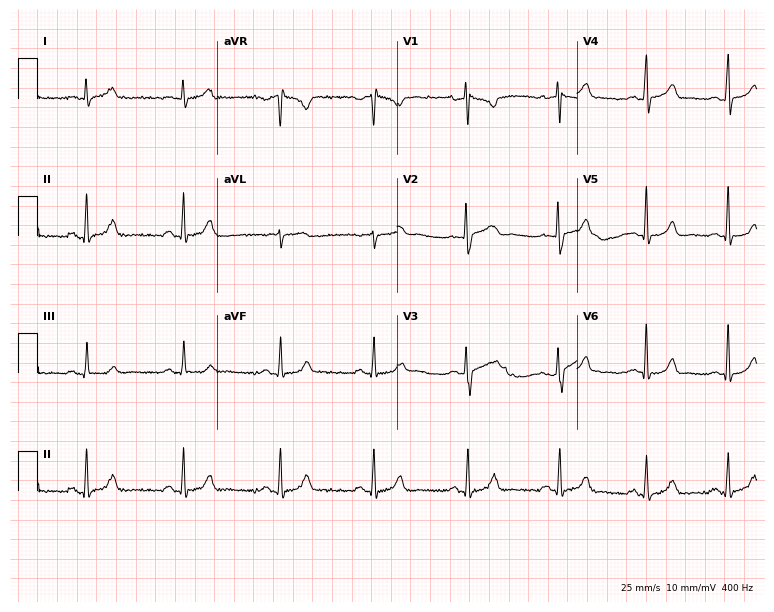
Resting 12-lead electrocardiogram. Patient: a female, 26 years old. Read as a normal ECG.